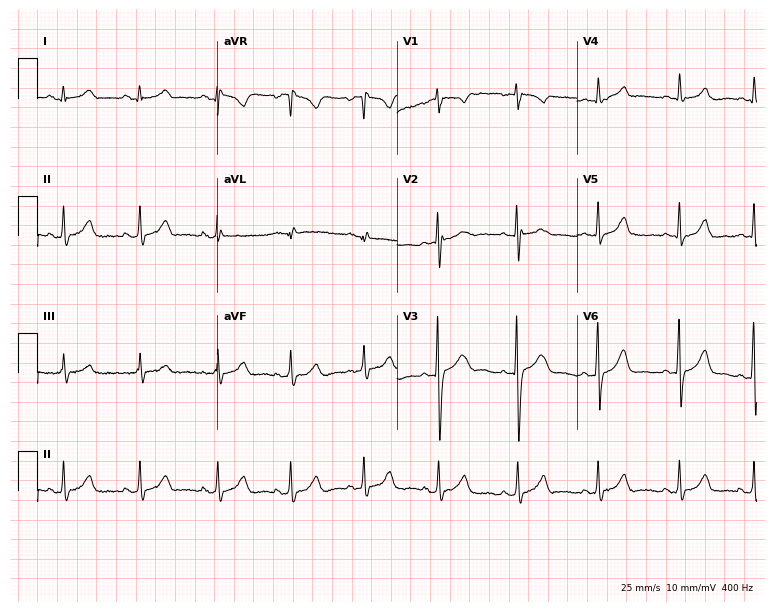
ECG — a 20-year-old woman. Labelled as a normal ECG.